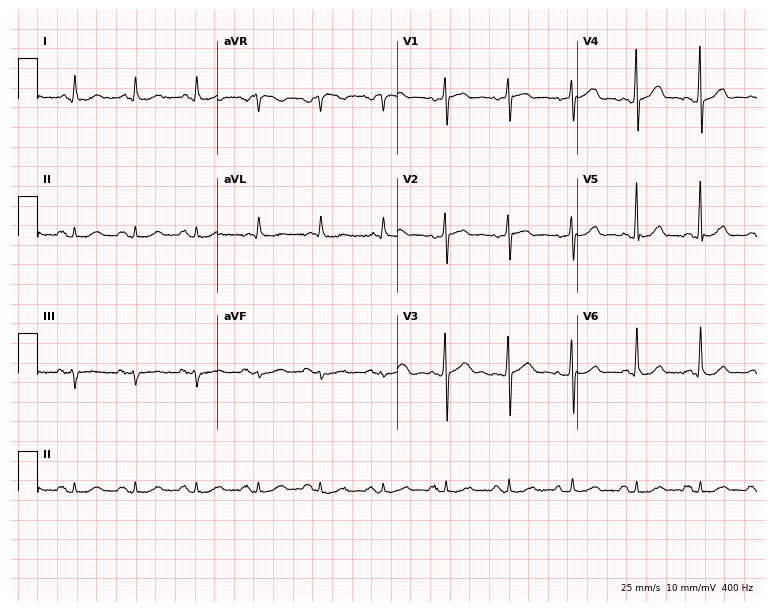
Standard 12-lead ECG recorded from a 66-year-old male (7.3-second recording at 400 Hz). Read as a normal ECG.